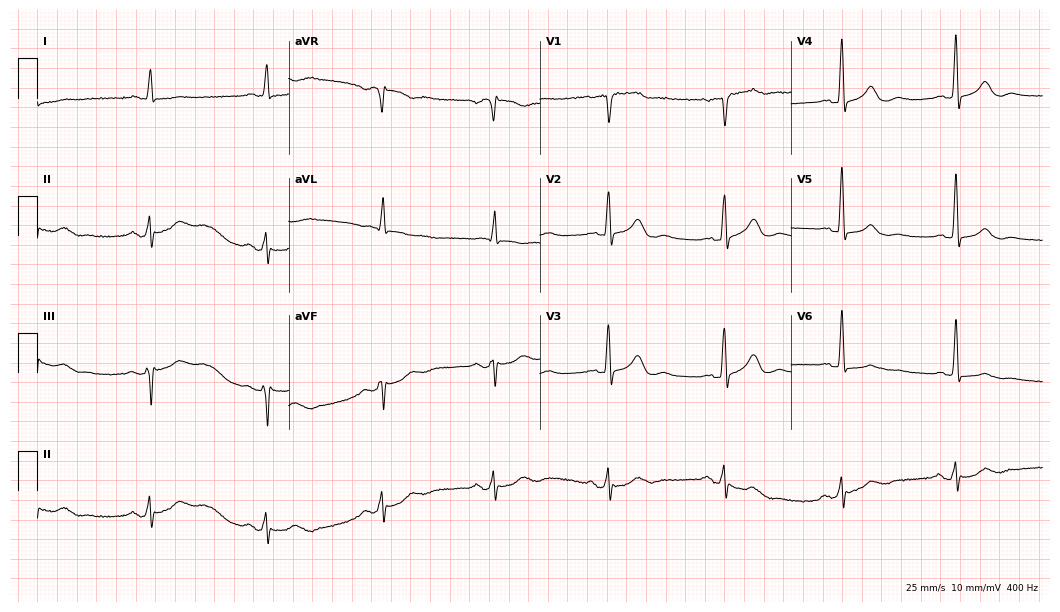
ECG — a 68-year-old female patient. Screened for six findings — first-degree AV block, right bundle branch block (RBBB), left bundle branch block (LBBB), sinus bradycardia, atrial fibrillation (AF), sinus tachycardia — none is recorded.